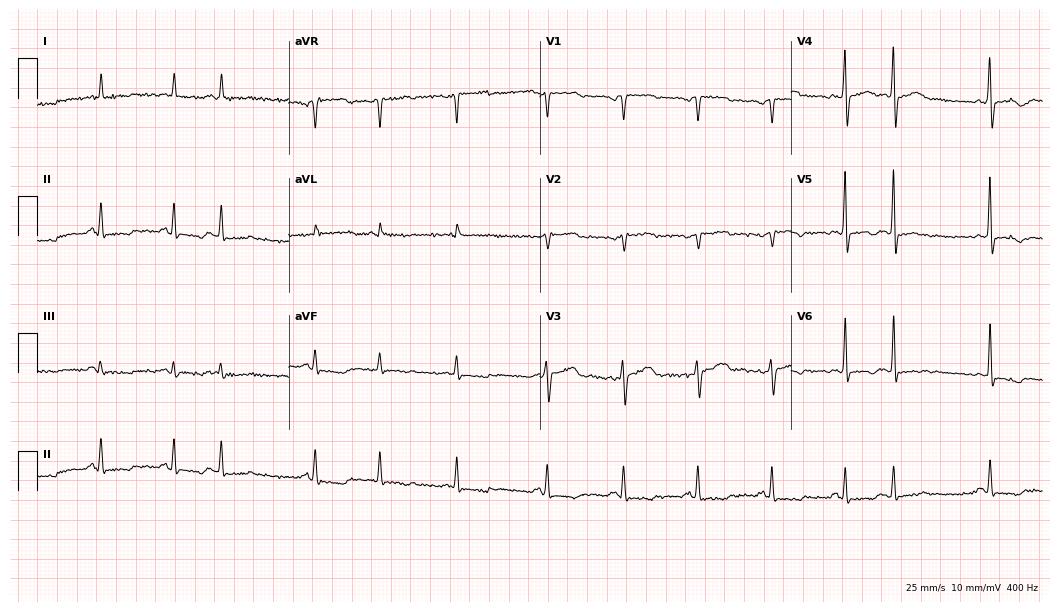
Resting 12-lead electrocardiogram (10.2-second recording at 400 Hz). Patient: a male, 81 years old. None of these six findings is recorded: first-degree AV block, right bundle branch block (RBBB), left bundle branch block (LBBB), sinus bradycardia, atrial fibrillation (AF), sinus tachycardia. Other findings, if any, are not listed.